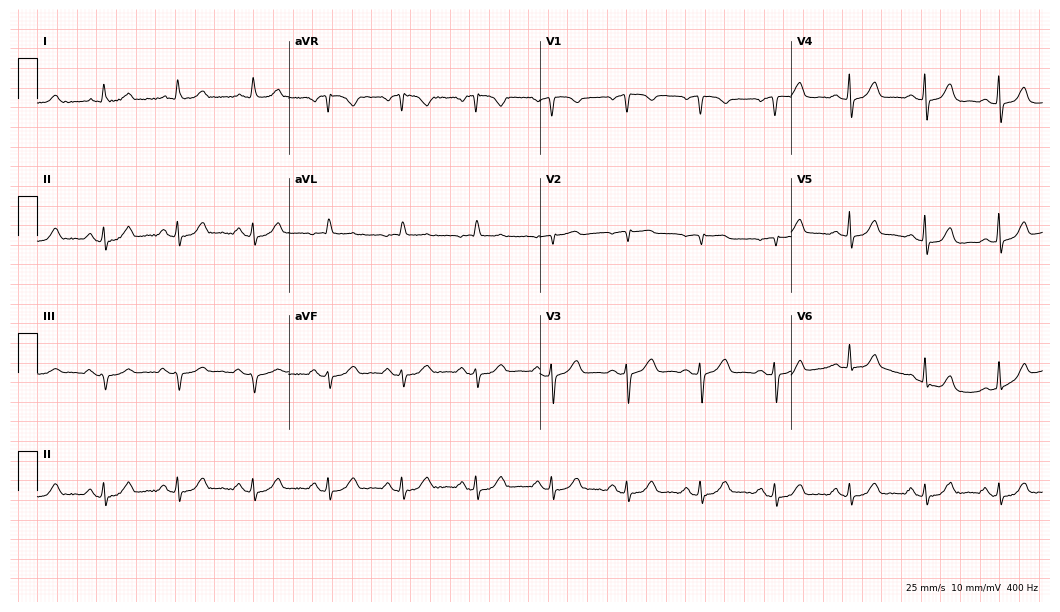
Standard 12-lead ECG recorded from a 70-year-old female patient (10.2-second recording at 400 Hz). Read as a normal ECG.